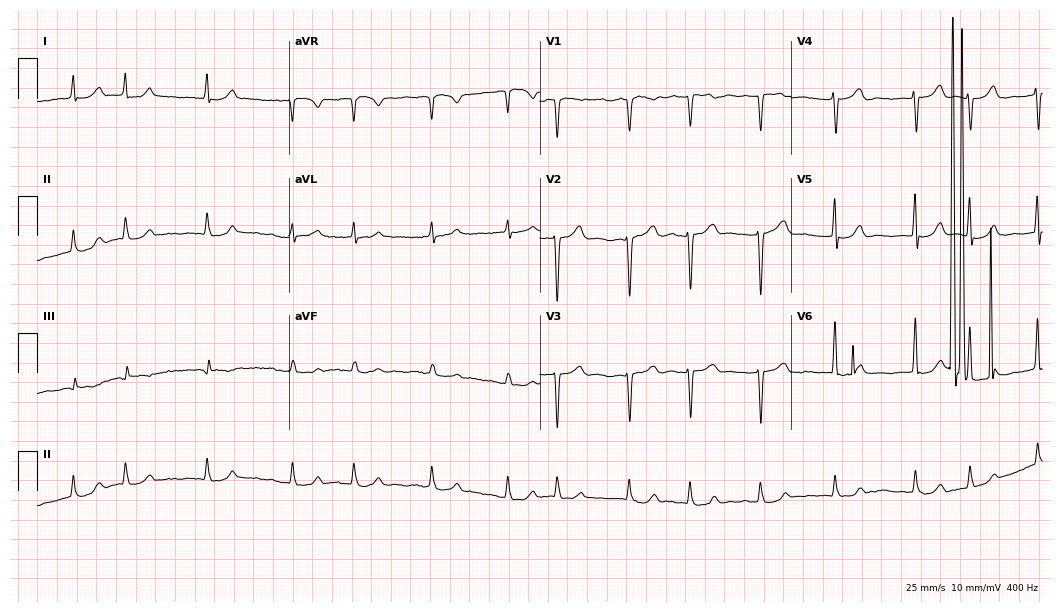
12-lead ECG from a male, 85 years old (10.2-second recording at 400 Hz). Shows atrial fibrillation.